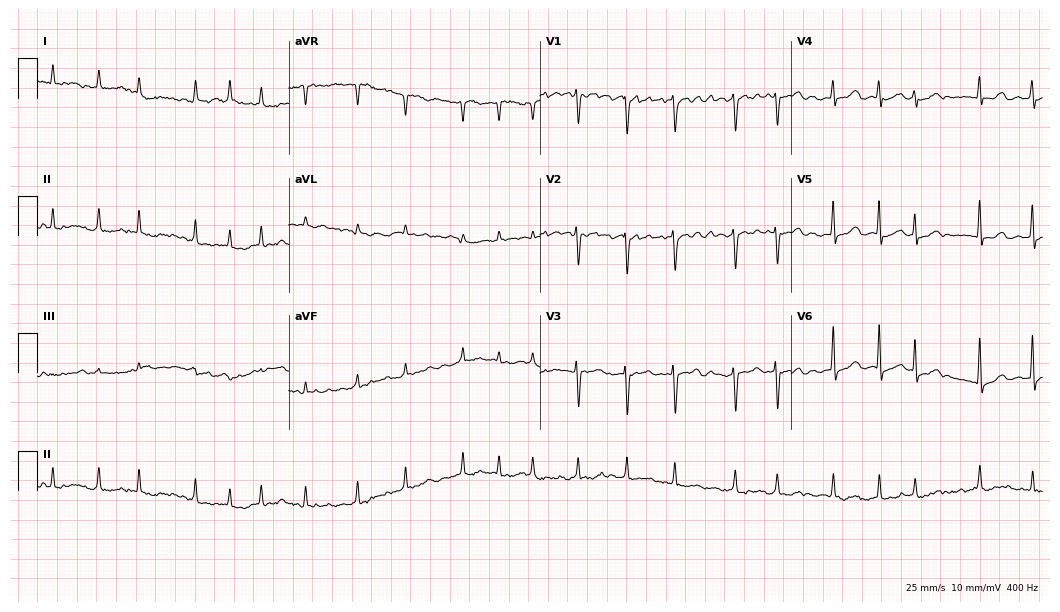
Resting 12-lead electrocardiogram (10.2-second recording at 400 Hz). Patient: a 75-year-old female. The tracing shows atrial fibrillation.